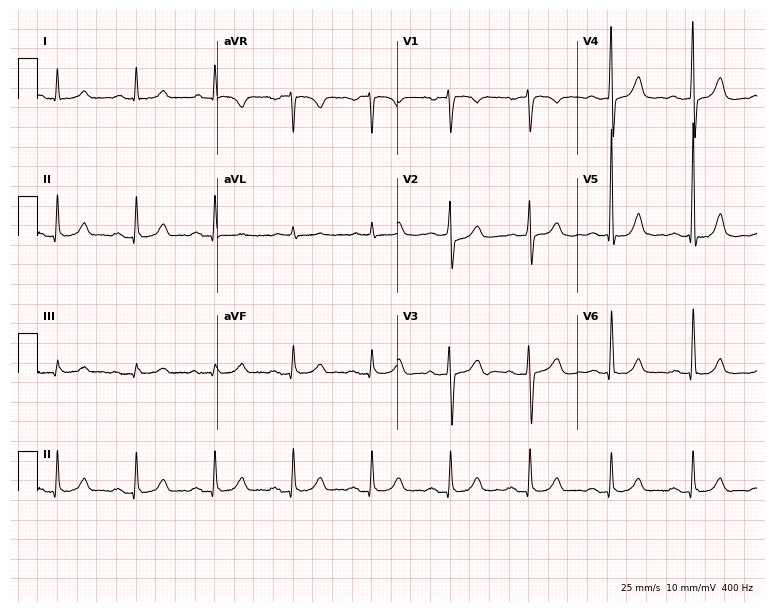
Resting 12-lead electrocardiogram (7.3-second recording at 400 Hz). Patient: a 70-year-old male. None of these six findings is recorded: first-degree AV block, right bundle branch block, left bundle branch block, sinus bradycardia, atrial fibrillation, sinus tachycardia. Findings outside these six are not listed.